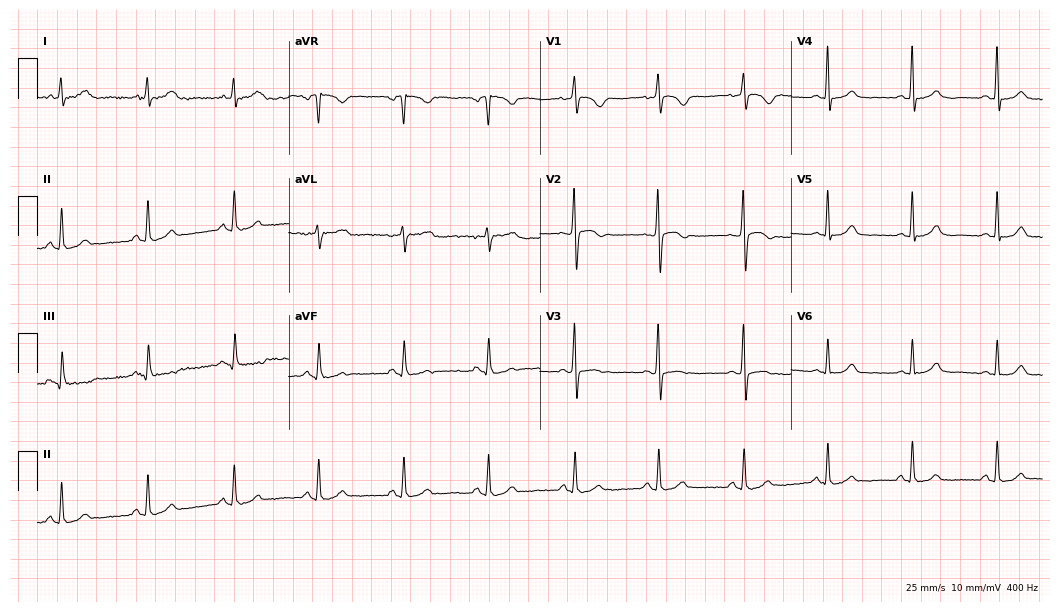
12-lead ECG from a female, 66 years old (10.2-second recording at 400 Hz). No first-degree AV block, right bundle branch block (RBBB), left bundle branch block (LBBB), sinus bradycardia, atrial fibrillation (AF) or sinus tachycardia recorded for this tracing. Other findings, if any, are not listed.